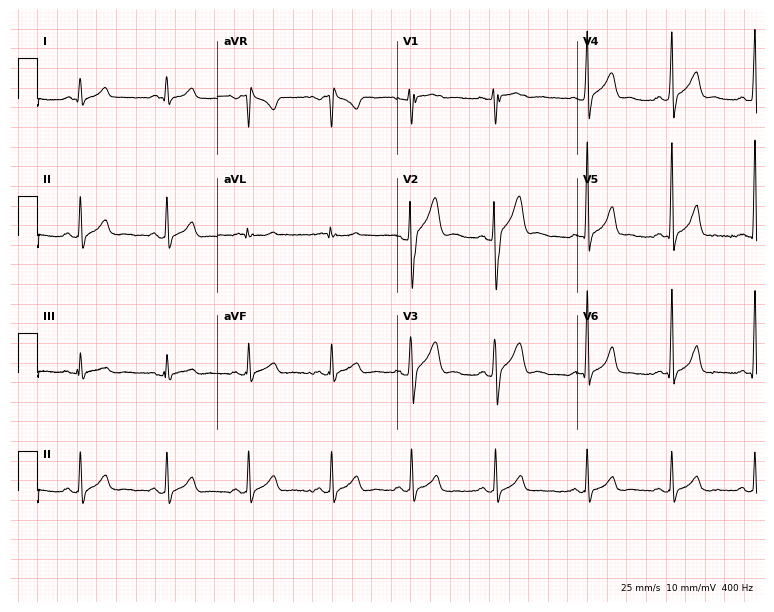
Electrocardiogram (7.3-second recording at 400 Hz), a 35-year-old male. Of the six screened findings (first-degree AV block, right bundle branch block (RBBB), left bundle branch block (LBBB), sinus bradycardia, atrial fibrillation (AF), sinus tachycardia), none is recorded. Other findings, if any, are not listed.